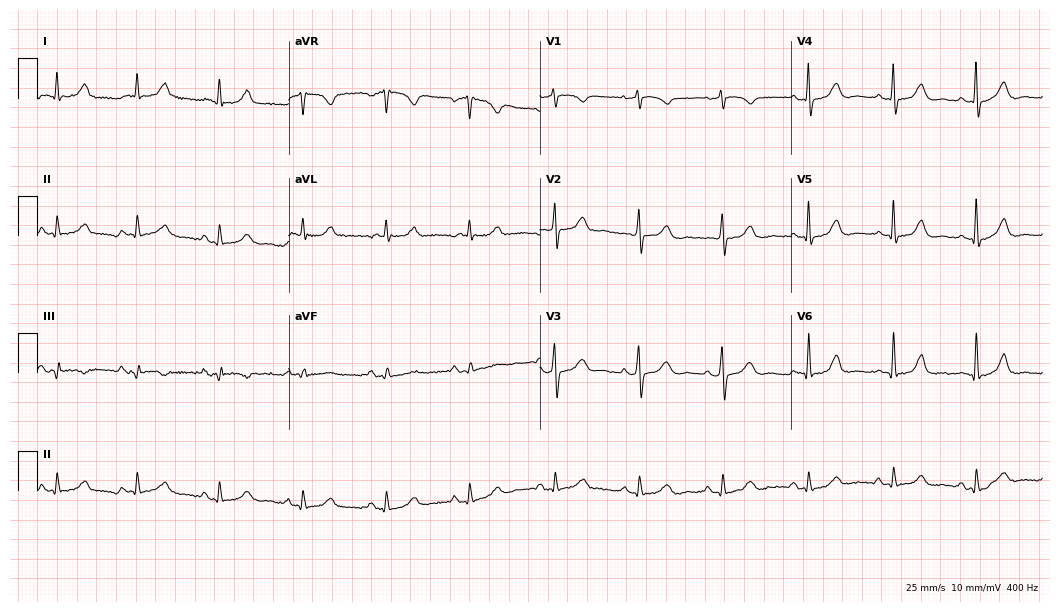
ECG — a female, 78 years old. Labelled as a normal ECG.